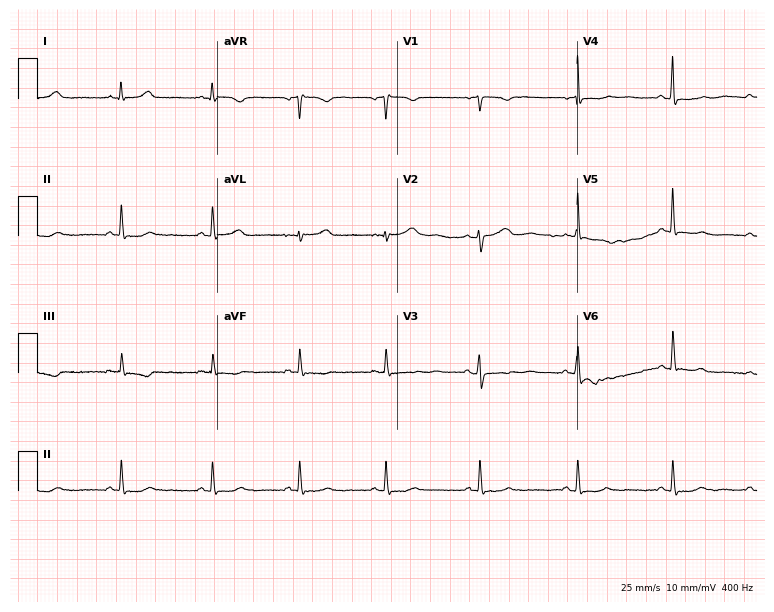
Standard 12-lead ECG recorded from a 56-year-old female (7.3-second recording at 400 Hz). None of these six findings is recorded: first-degree AV block, right bundle branch block, left bundle branch block, sinus bradycardia, atrial fibrillation, sinus tachycardia. Other findings, if any, are not listed.